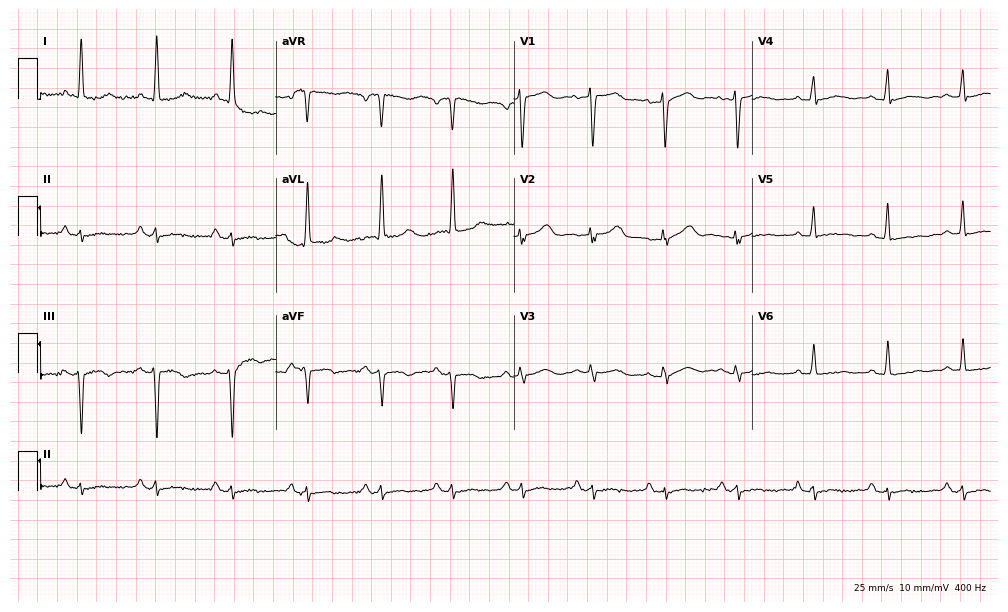
12-lead ECG from a female, 82 years old. No first-degree AV block, right bundle branch block, left bundle branch block, sinus bradycardia, atrial fibrillation or sinus tachycardia recorded for this tracing. Findings outside these six are not listed.